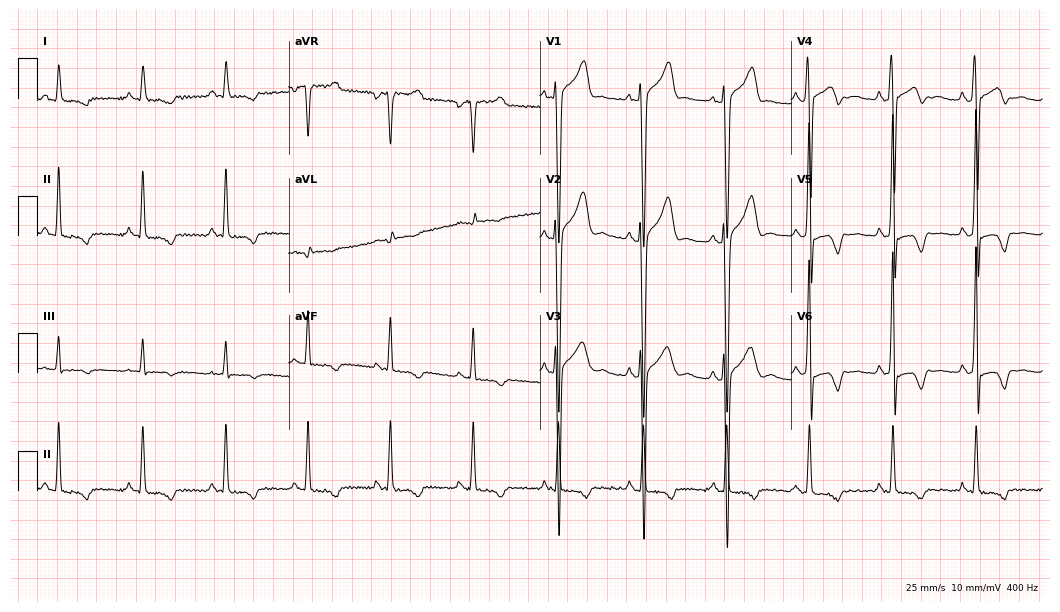
Electrocardiogram, a 57-year-old male patient. Of the six screened findings (first-degree AV block, right bundle branch block, left bundle branch block, sinus bradycardia, atrial fibrillation, sinus tachycardia), none is recorded. Other findings, if any, are not listed.